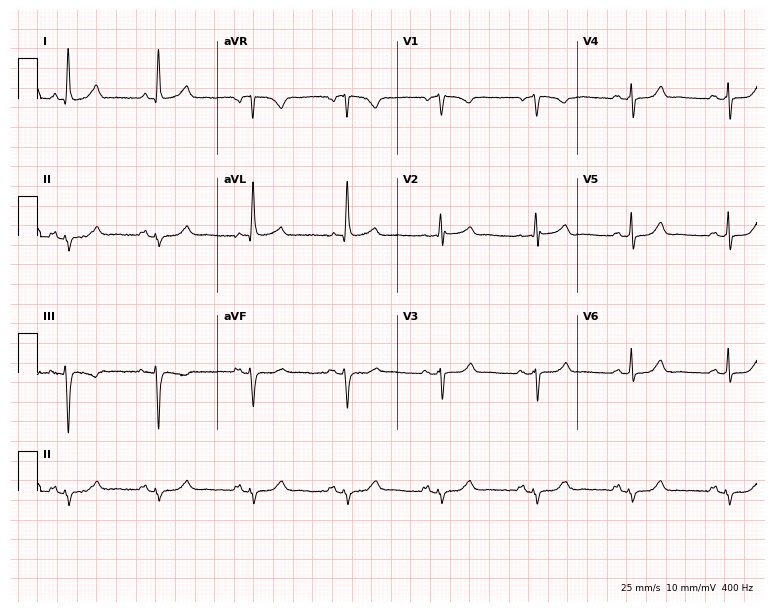
ECG — a 77-year-old female. Screened for six findings — first-degree AV block, right bundle branch block, left bundle branch block, sinus bradycardia, atrial fibrillation, sinus tachycardia — none is recorded. Other findings, if any, are not listed.